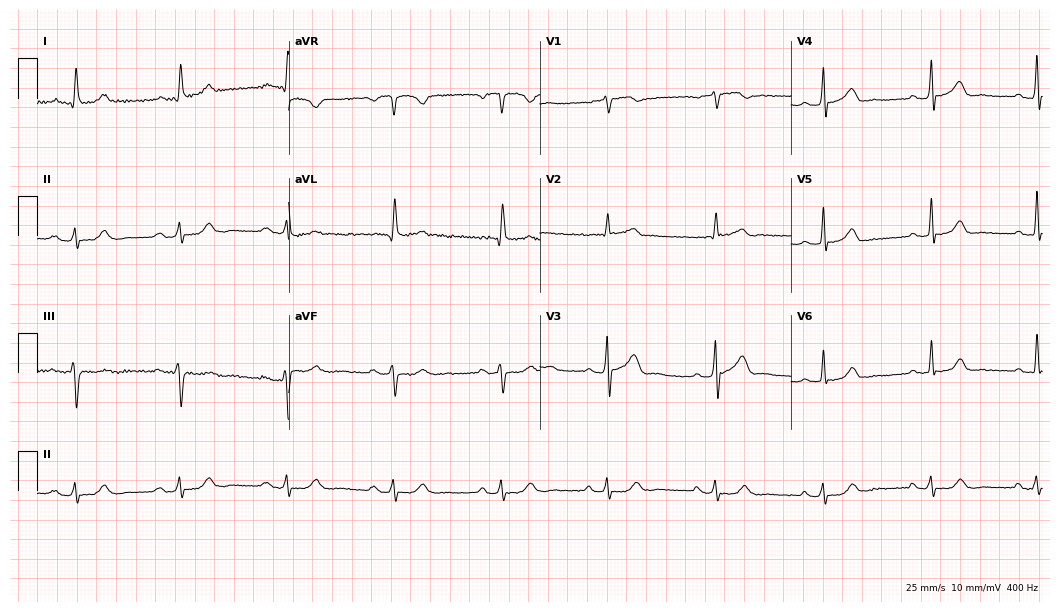
Resting 12-lead electrocardiogram (10.2-second recording at 400 Hz). Patient: a 77-year-old man. The tracing shows first-degree AV block.